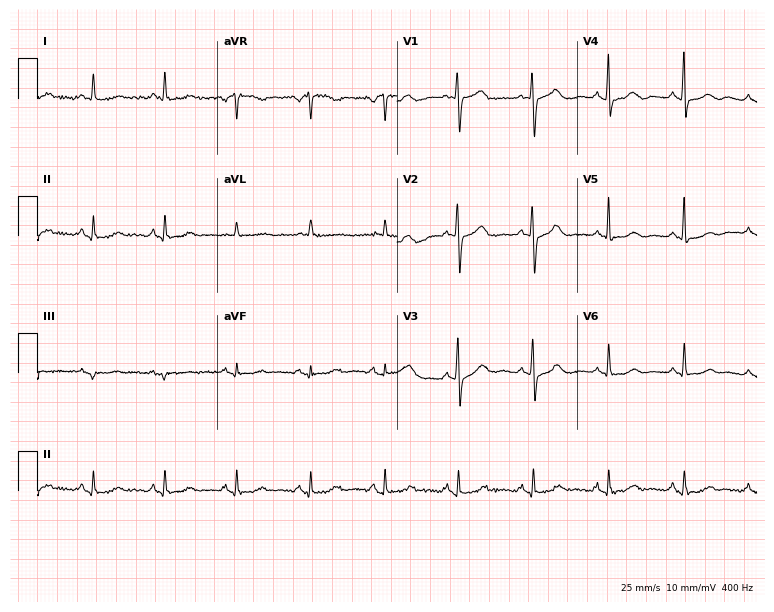
12-lead ECG from an 82-year-old female (7.3-second recording at 400 Hz). No first-degree AV block, right bundle branch block, left bundle branch block, sinus bradycardia, atrial fibrillation or sinus tachycardia recorded for this tracing. Only these six findings were labelled.